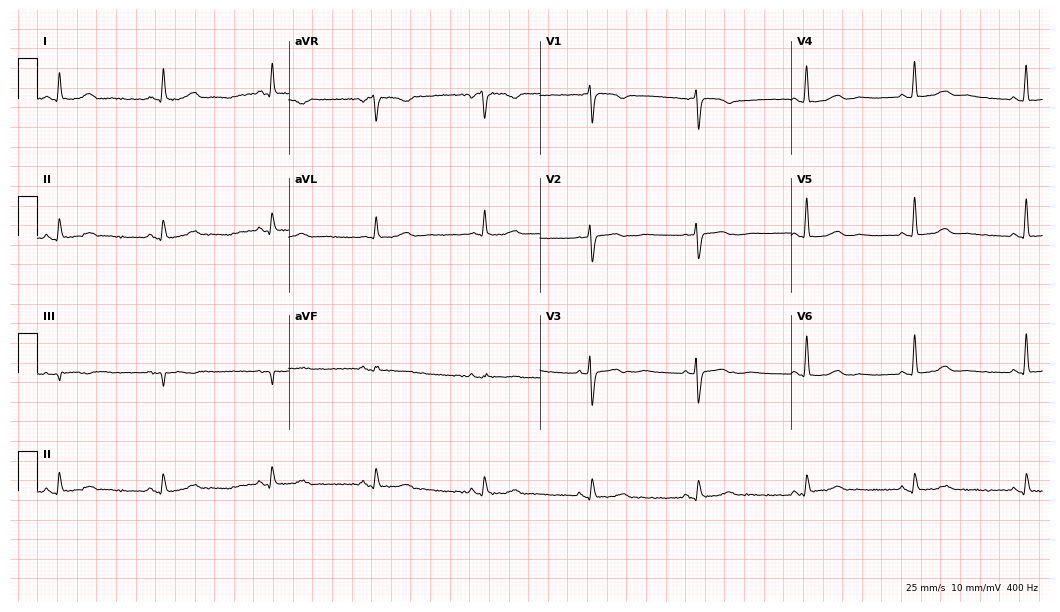
Standard 12-lead ECG recorded from a female, 72 years old (10.2-second recording at 400 Hz). Read as a normal ECG.